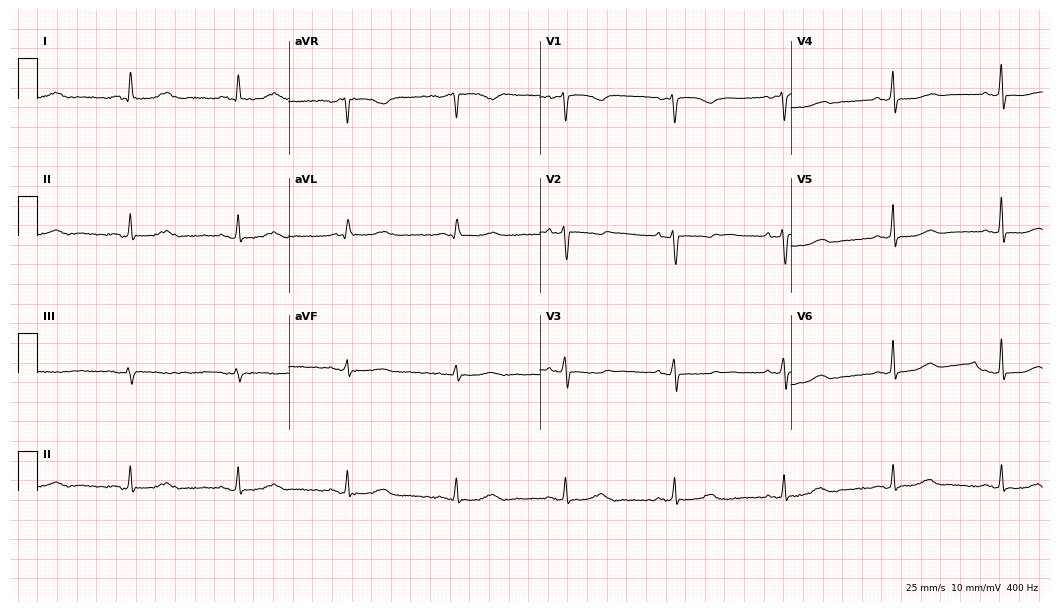
Resting 12-lead electrocardiogram (10.2-second recording at 400 Hz). Patient: a 64-year-old female. None of these six findings is recorded: first-degree AV block, right bundle branch block (RBBB), left bundle branch block (LBBB), sinus bradycardia, atrial fibrillation (AF), sinus tachycardia. Findings outside these six are not listed.